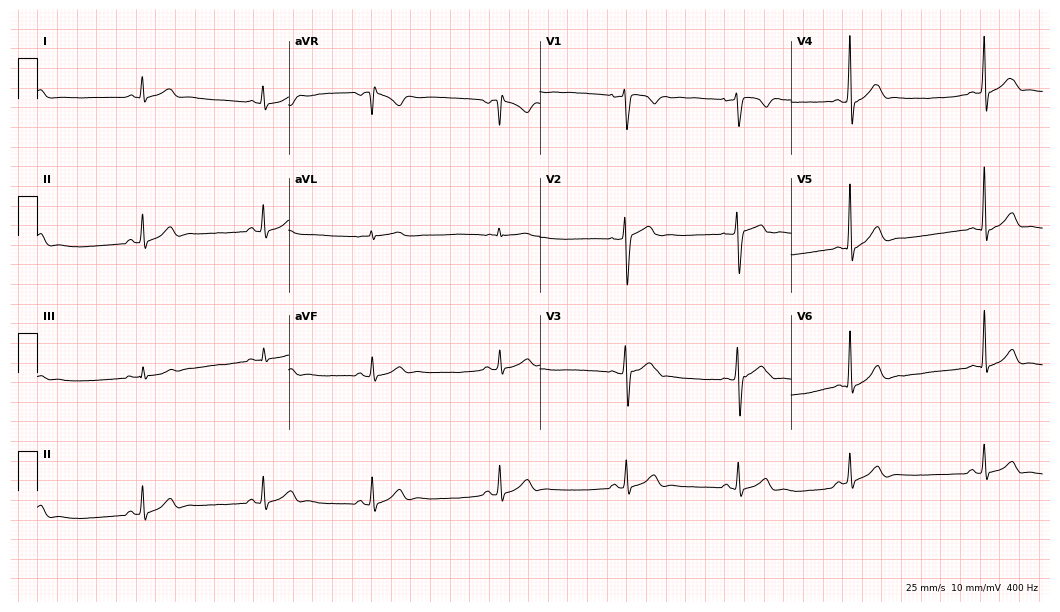
12-lead ECG (10.2-second recording at 400 Hz) from a 22-year-old male. Screened for six findings — first-degree AV block, right bundle branch block, left bundle branch block, sinus bradycardia, atrial fibrillation, sinus tachycardia — none is recorded. Only these six findings were labelled.